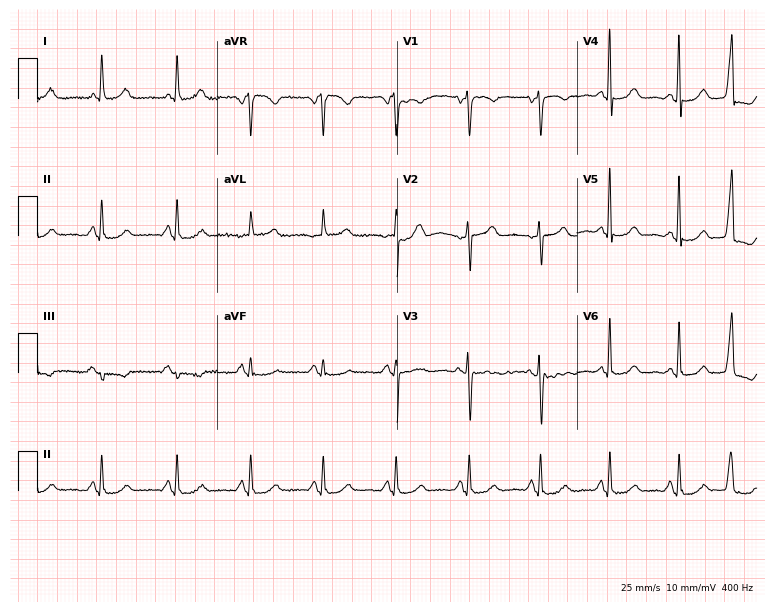
12-lead ECG from a 70-year-old woman (7.3-second recording at 400 Hz). No first-degree AV block, right bundle branch block (RBBB), left bundle branch block (LBBB), sinus bradycardia, atrial fibrillation (AF) or sinus tachycardia recorded for this tracing.